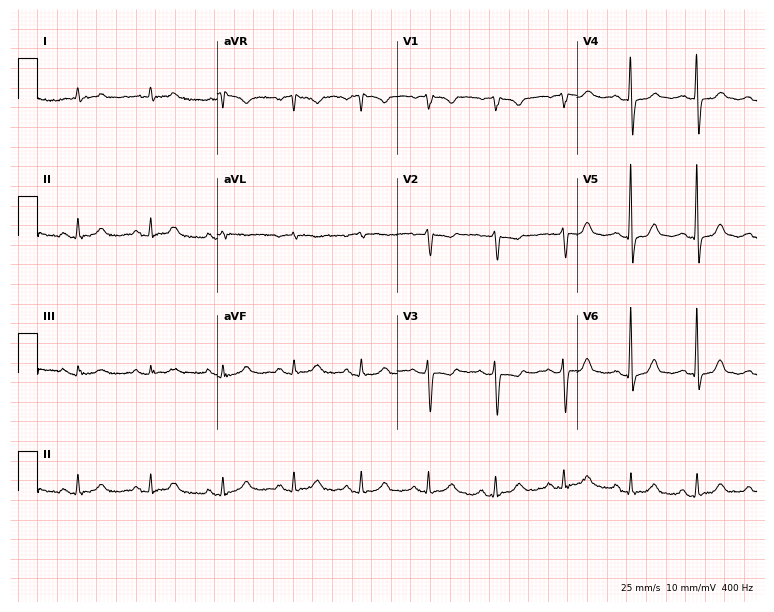
12-lead ECG (7.3-second recording at 400 Hz) from a 66-year-old woman. Screened for six findings — first-degree AV block, right bundle branch block, left bundle branch block, sinus bradycardia, atrial fibrillation, sinus tachycardia — none is recorded. Only these six findings were labelled.